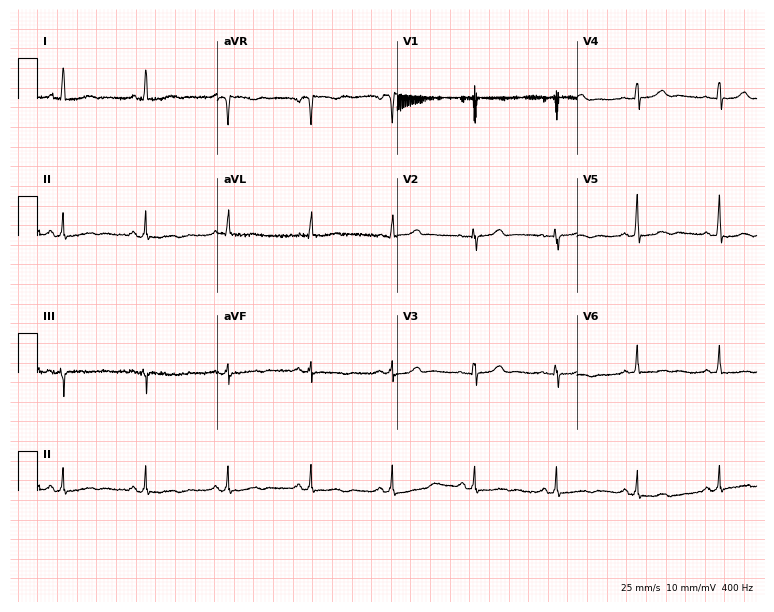
Standard 12-lead ECG recorded from a female patient, 59 years old. None of these six findings is recorded: first-degree AV block, right bundle branch block (RBBB), left bundle branch block (LBBB), sinus bradycardia, atrial fibrillation (AF), sinus tachycardia.